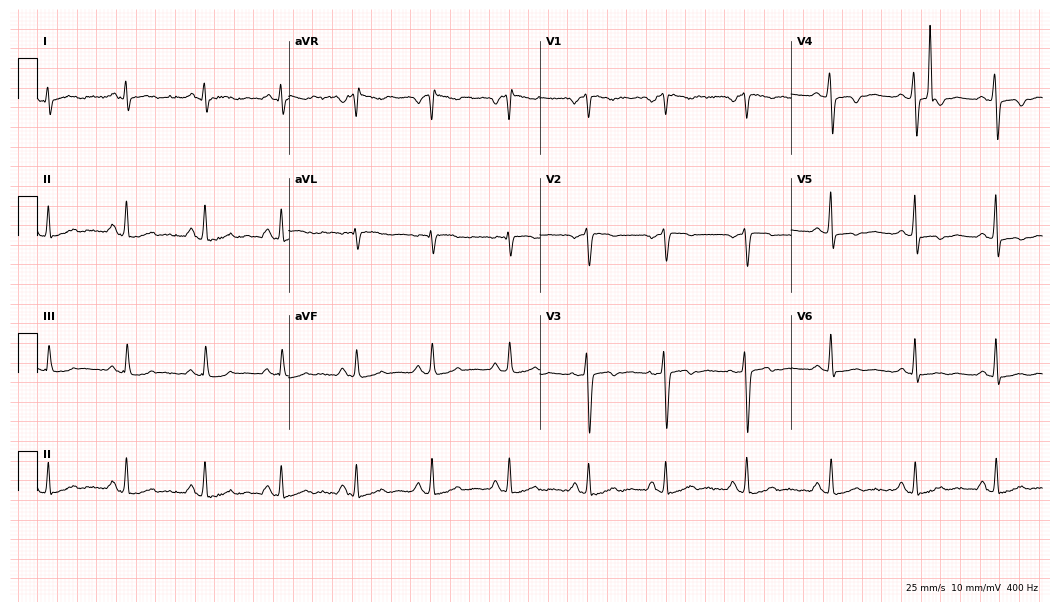
12-lead ECG from a 27-year-old female patient. Recorded interpretation: within normal limits.